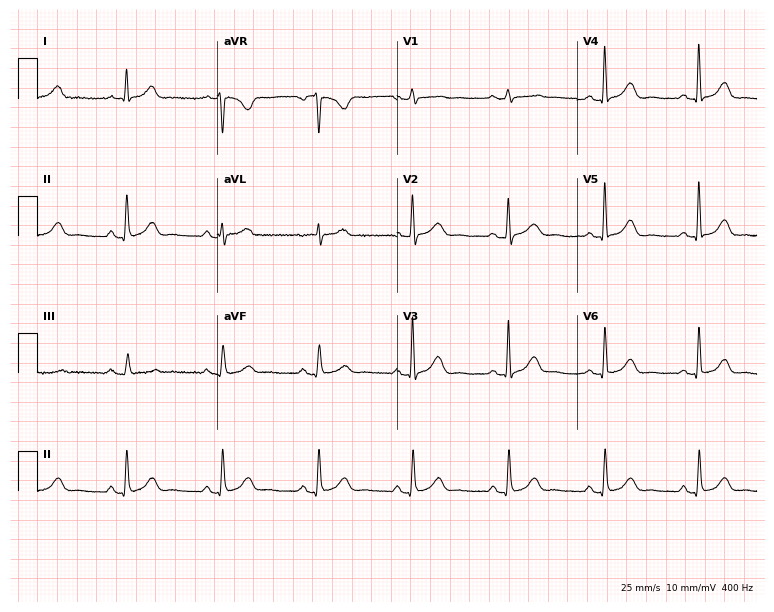
12-lead ECG from a woman, 56 years old. Recorded interpretation: within normal limits.